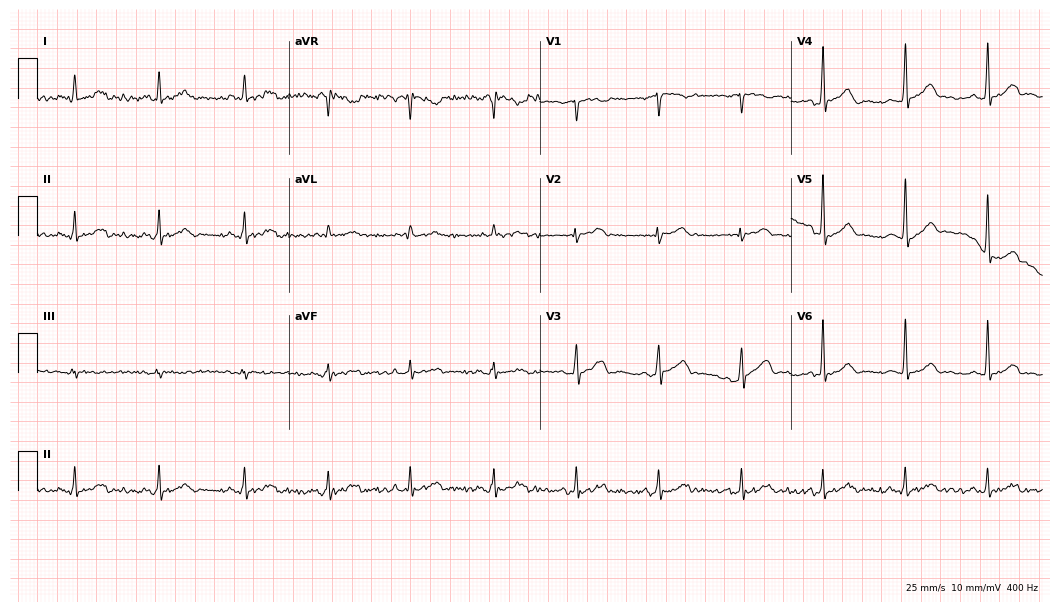
12-lead ECG from a 42-year-old male patient. Recorded interpretation: within normal limits.